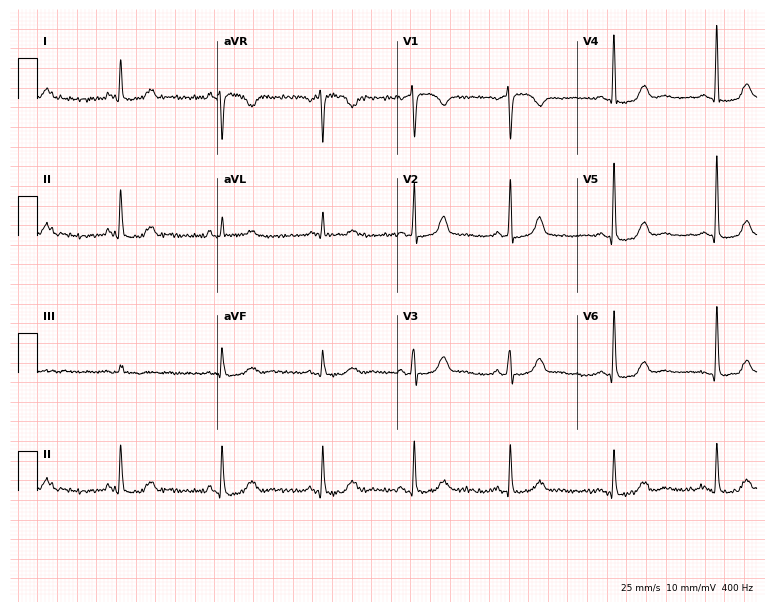
12-lead ECG (7.3-second recording at 400 Hz) from a female, 55 years old. Screened for six findings — first-degree AV block, right bundle branch block, left bundle branch block, sinus bradycardia, atrial fibrillation, sinus tachycardia — none is recorded. Only these six findings were labelled.